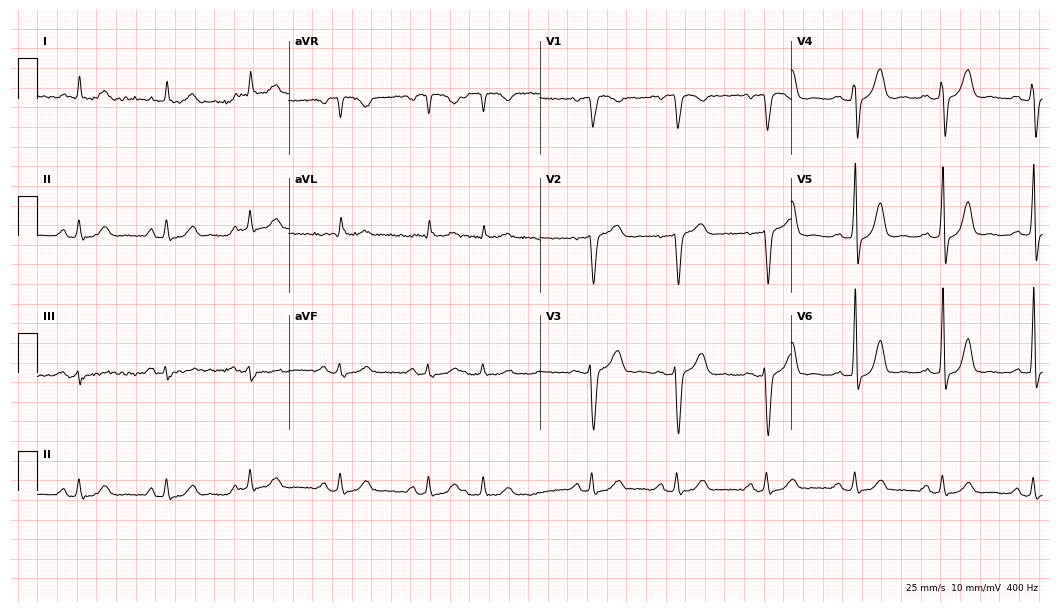
12-lead ECG from a male, 79 years old (10.2-second recording at 400 Hz). No first-degree AV block, right bundle branch block, left bundle branch block, sinus bradycardia, atrial fibrillation or sinus tachycardia recorded for this tracing. Other findings, if any, are not listed.